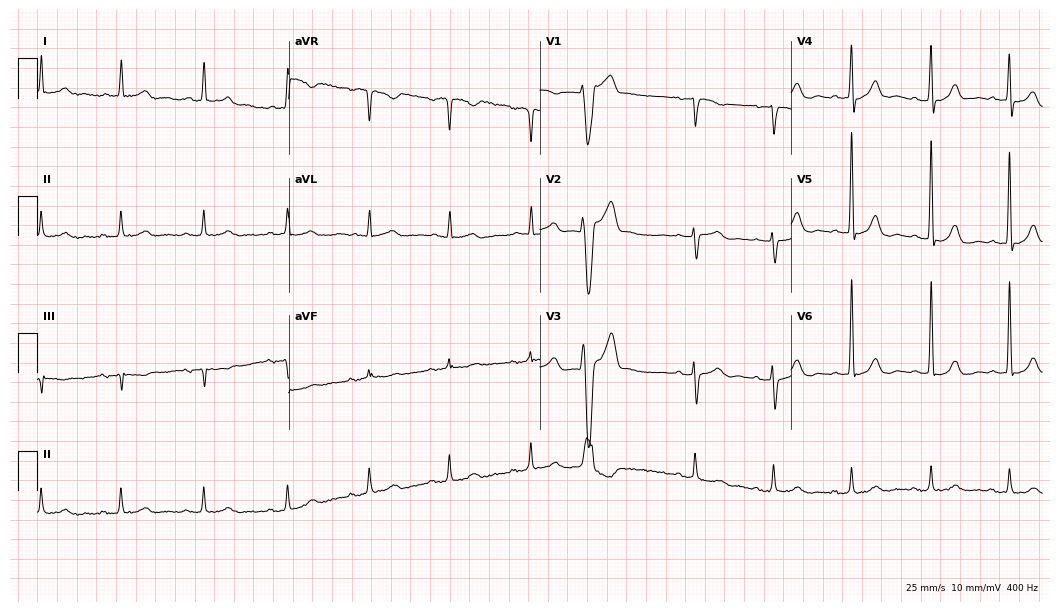
12-lead ECG from a female patient, 78 years old (10.2-second recording at 400 Hz). Recorded interpretation: within normal limits.